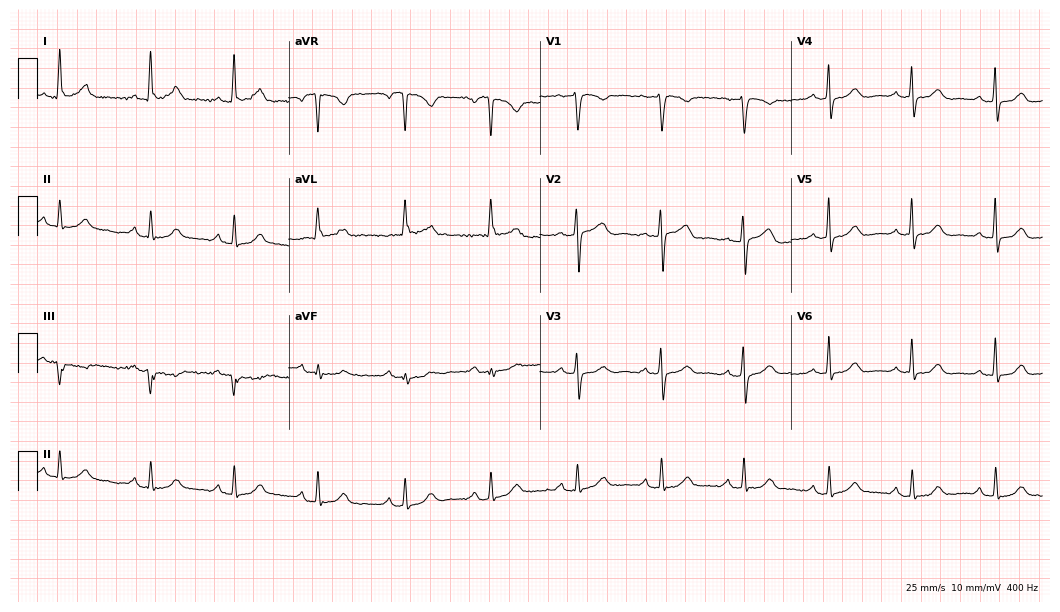
Electrocardiogram (10.2-second recording at 400 Hz), a woman, 71 years old. Of the six screened findings (first-degree AV block, right bundle branch block, left bundle branch block, sinus bradycardia, atrial fibrillation, sinus tachycardia), none is recorded. Findings outside these six are not listed.